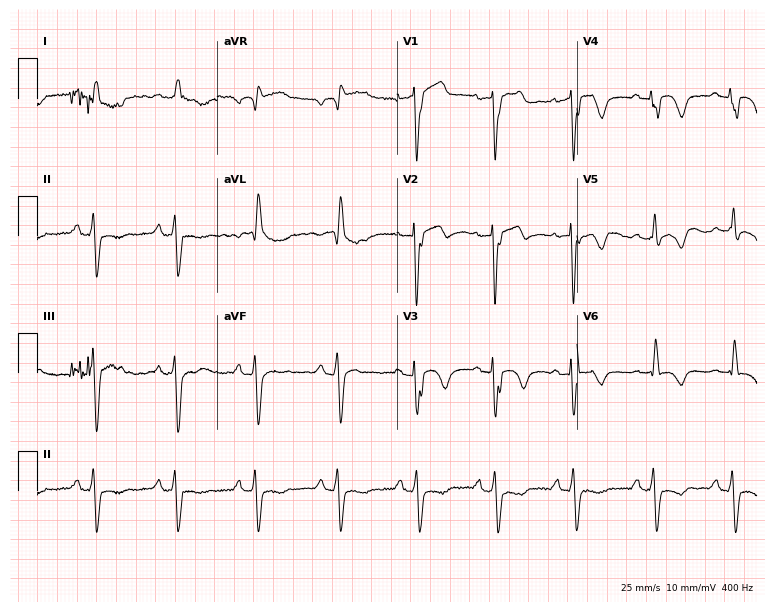
Resting 12-lead electrocardiogram. Patient: a 59-year-old male. None of these six findings is recorded: first-degree AV block, right bundle branch block, left bundle branch block, sinus bradycardia, atrial fibrillation, sinus tachycardia. Findings outside these six are not listed.